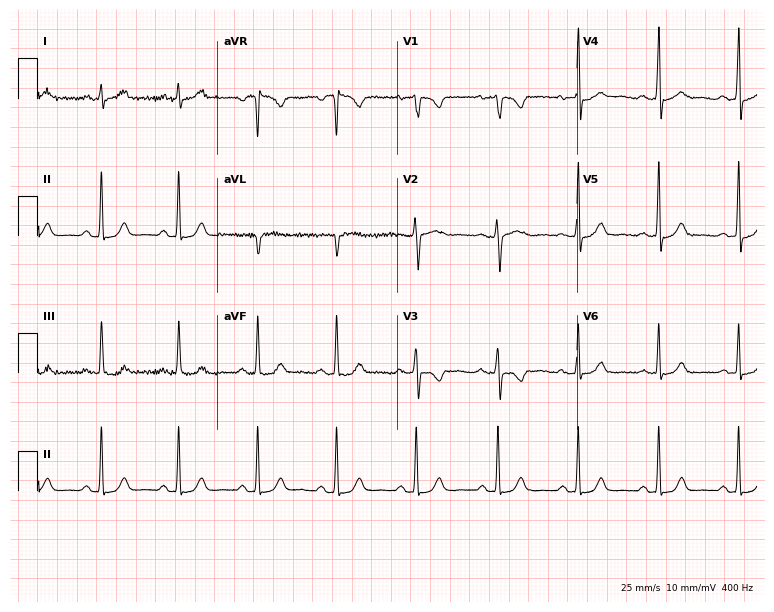
Resting 12-lead electrocardiogram (7.3-second recording at 400 Hz). Patient: a 40-year-old female. Read as a normal ECG.